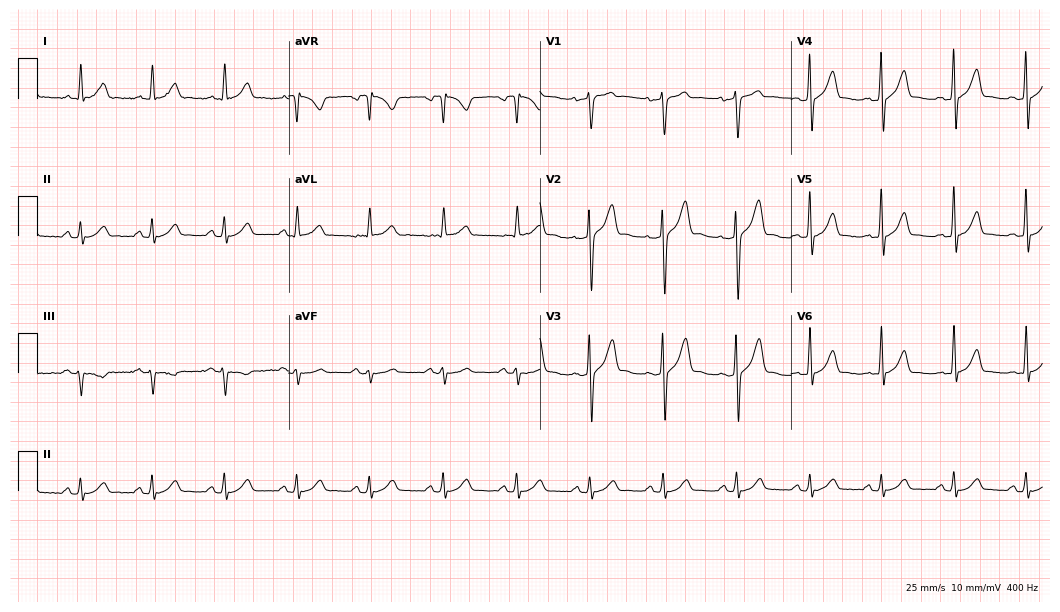
Resting 12-lead electrocardiogram (10.2-second recording at 400 Hz). Patient: a man, 35 years old. Read as a normal ECG.